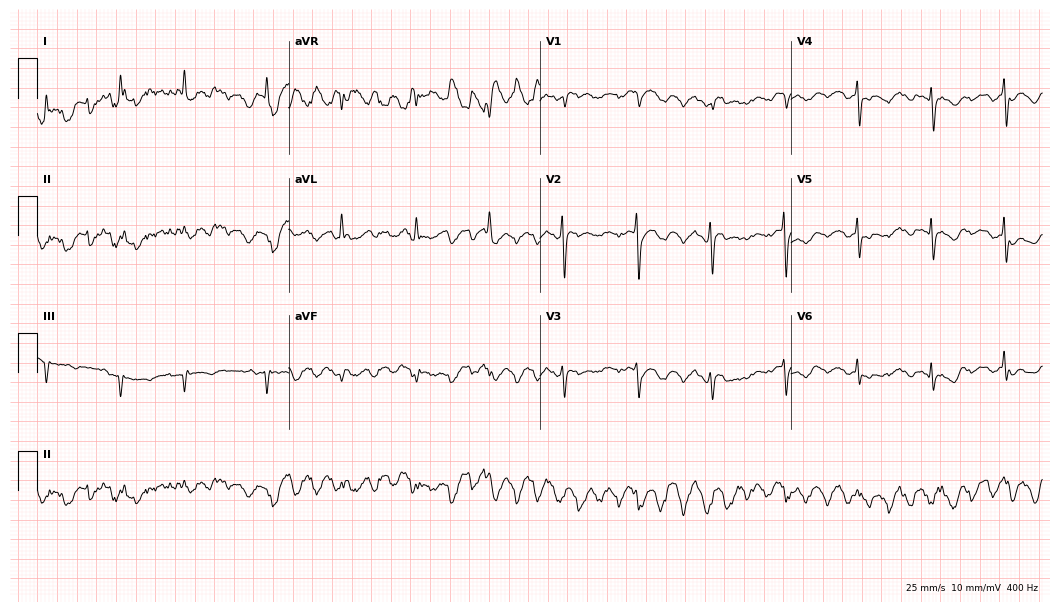
12-lead ECG from an 81-year-old woman. No first-degree AV block, right bundle branch block, left bundle branch block, sinus bradycardia, atrial fibrillation or sinus tachycardia recorded for this tracing. Other findings, if any, are not listed.